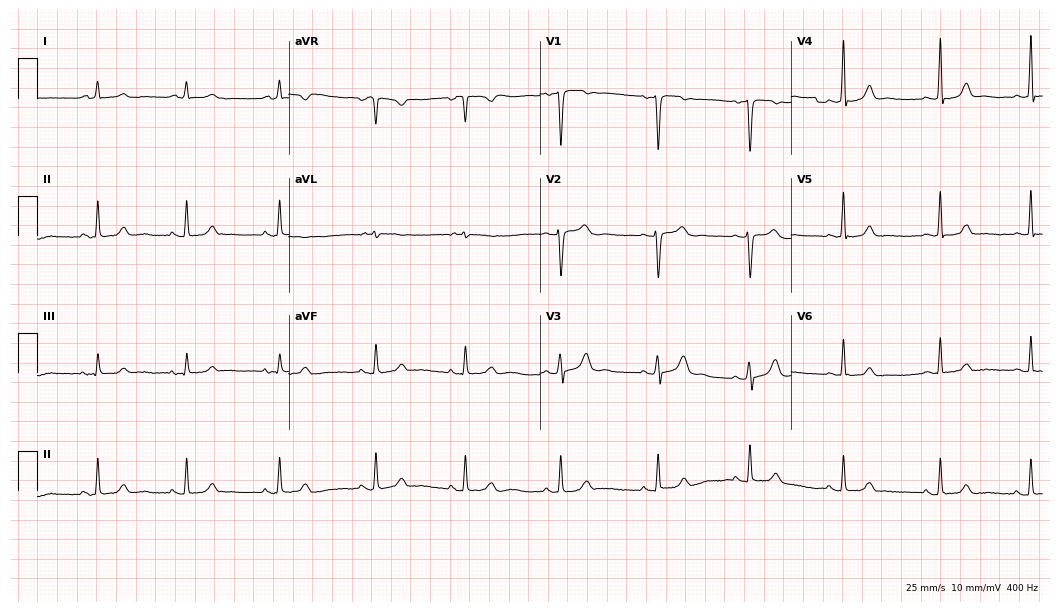
12-lead ECG from a 43-year-old female patient (10.2-second recording at 400 Hz). No first-degree AV block, right bundle branch block, left bundle branch block, sinus bradycardia, atrial fibrillation or sinus tachycardia recorded for this tracing. Other findings, if any, are not listed.